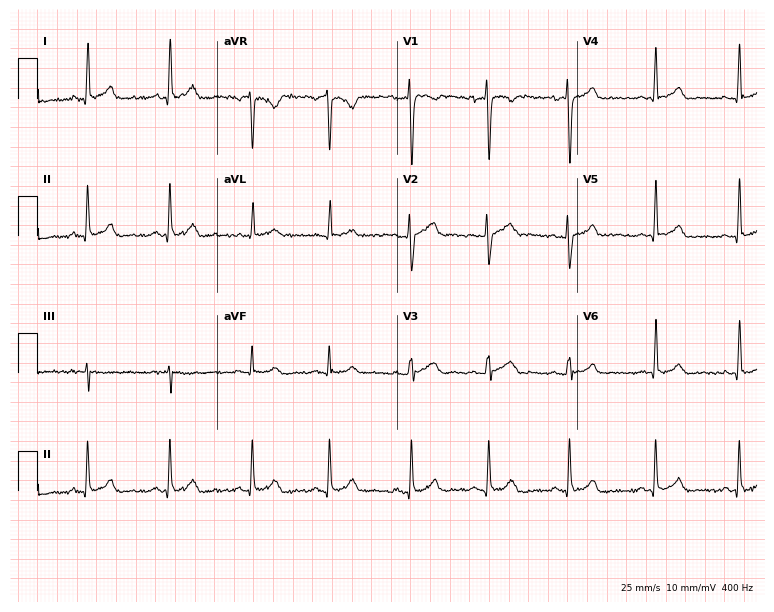
12-lead ECG (7.3-second recording at 400 Hz) from a woman, 35 years old. Screened for six findings — first-degree AV block, right bundle branch block, left bundle branch block, sinus bradycardia, atrial fibrillation, sinus tachycardia — none is recorded. Findings outside these six are not listed.